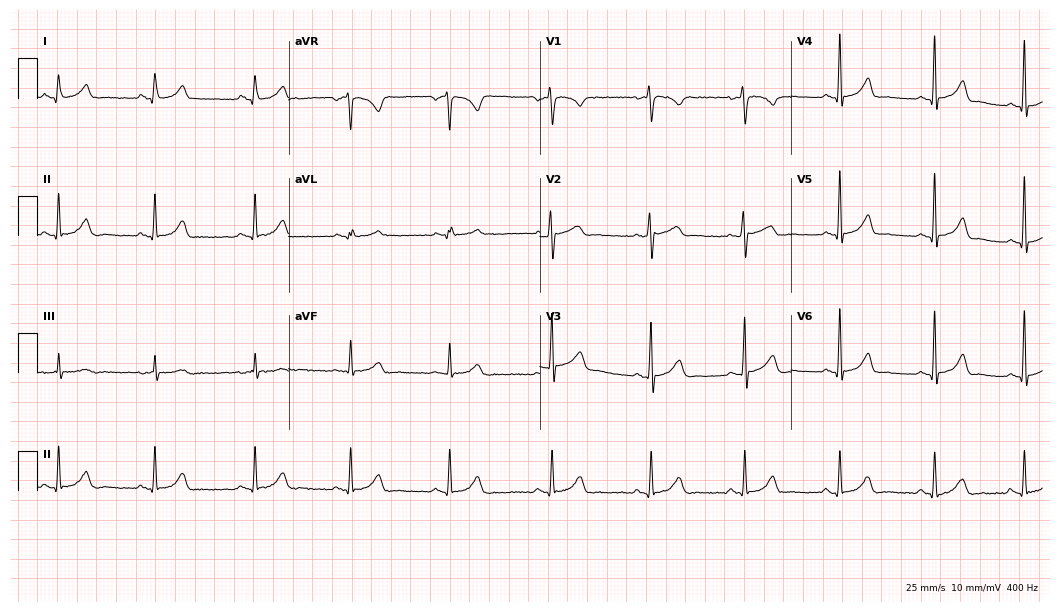
ECG — a female, 33 years old. Labelled as a normal ECG.